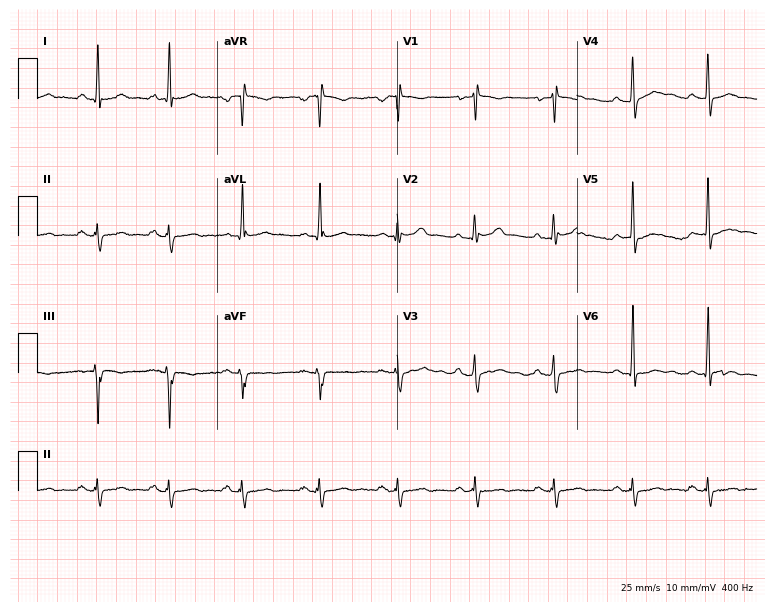
12-lead ECG from a male patient, 36 years old. No first-degree AV block, right bundle branch block, left bundle branch block, sinus bradycardia, atrial fibrillation or sinus tachycardia recorded for this tracing. Findings outside these six are not listed.